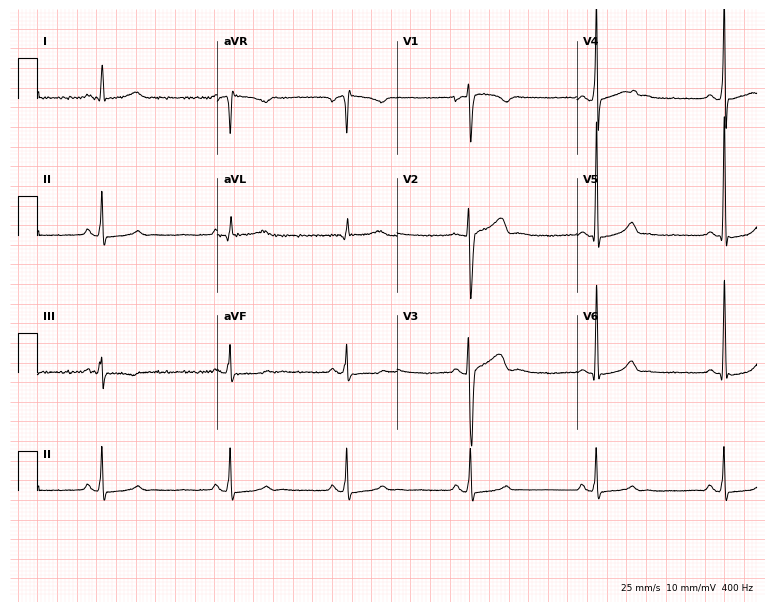
12-lead ECG from a 23-year-old male patient. Labelled as a normal ECG.